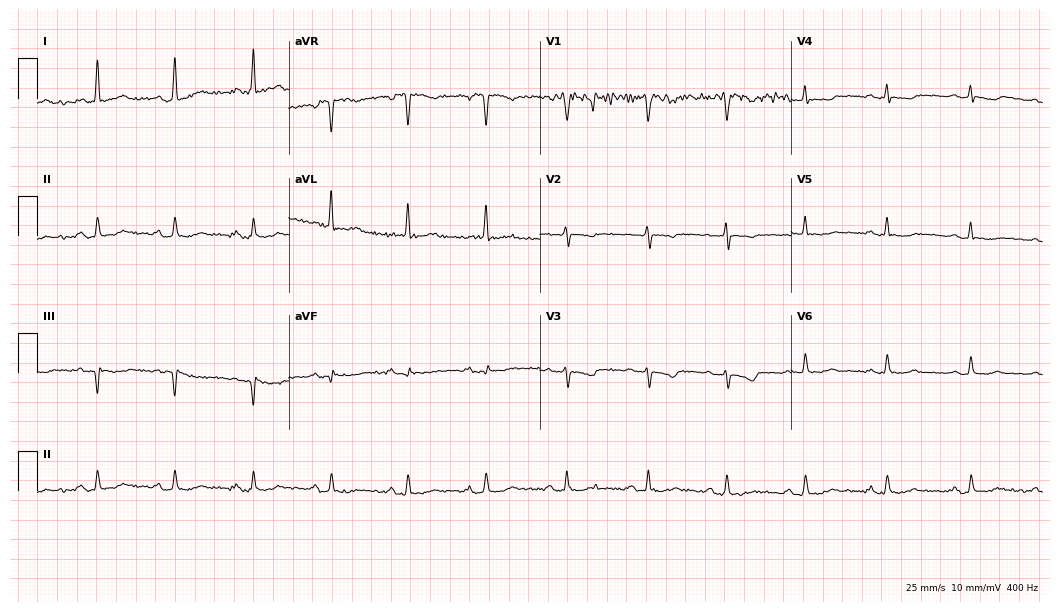
12-lead ECG (10.2-second recording at 400 Hz) from a 52-year-old female. Screened for six findings — first-degree AV block, right bundle branch block, left bundle branch block, sinus bradycardia, atrial fibrillation, sinus tachycardia — none is recorded. Only these six findings were labelled.